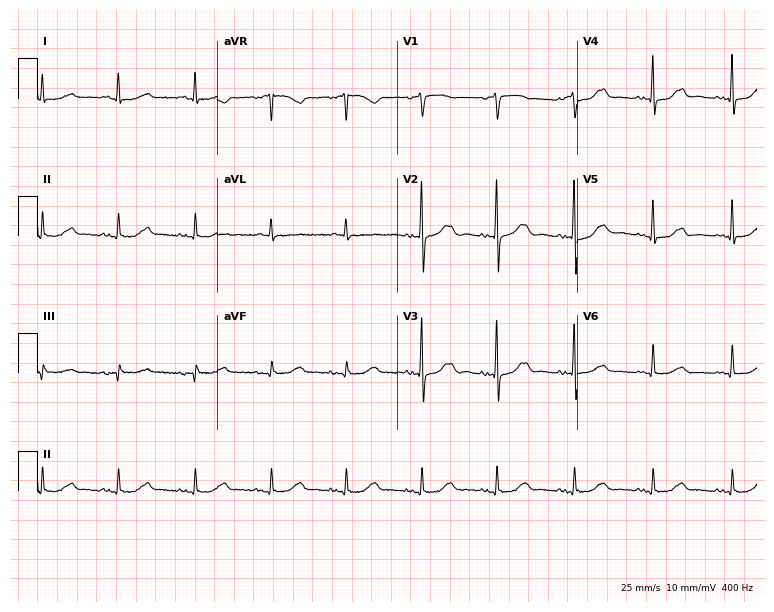
12-lead ECG from a female patient, 75 years old (7.3-second recording at 400 Hz). No first-degree AV block, right bundle branch block, left bundle branch block, sinus bradycardia, atrial fibrillation or sinus tachycardia recorded for this tracing.